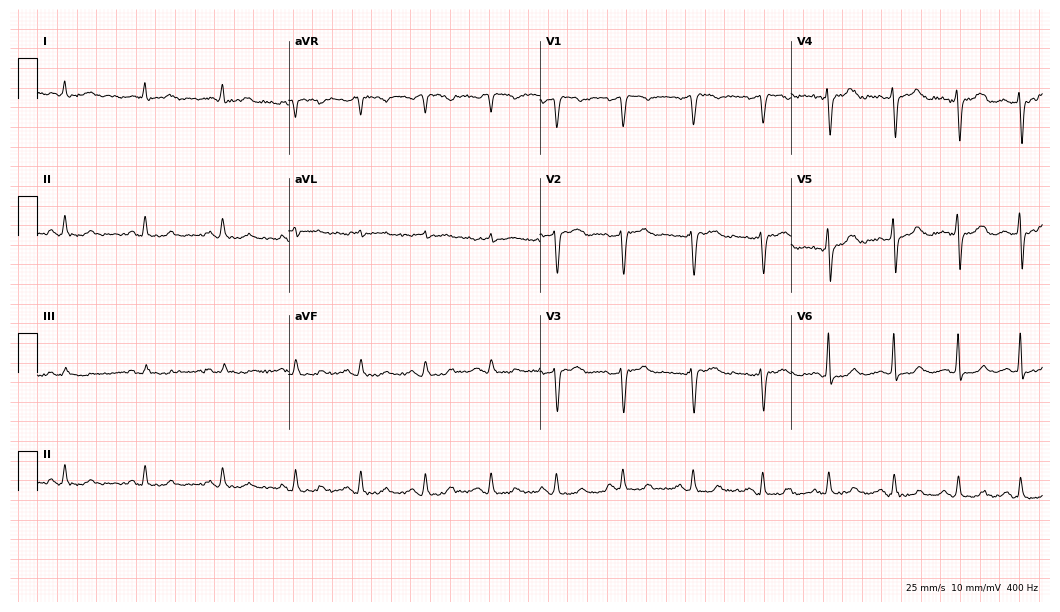
Standard 12-lead ECG recorded from a 62-year-old female patient (10.2-second recording at 400 Hz). Read as a normal ECG.